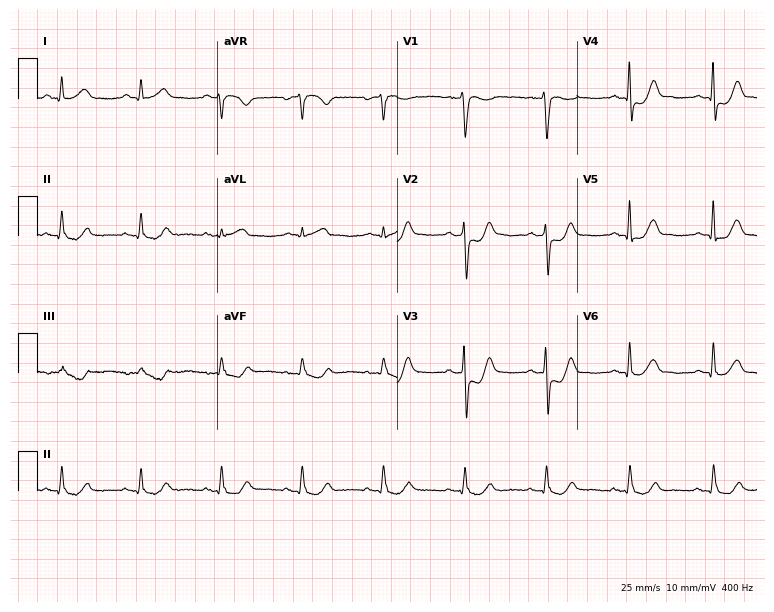
12-lead ECG (7.3-second recording at 400 Hz) from a 56-year-old male patient. Screened for six findings — first-degree AV block, right bundle branch block (RBBB), left bundle branch block (LBBB), sinus bradycardia, atrial fibrillation (AF), sinus tachycardia — none is recorded. Only these six findings were labelled.